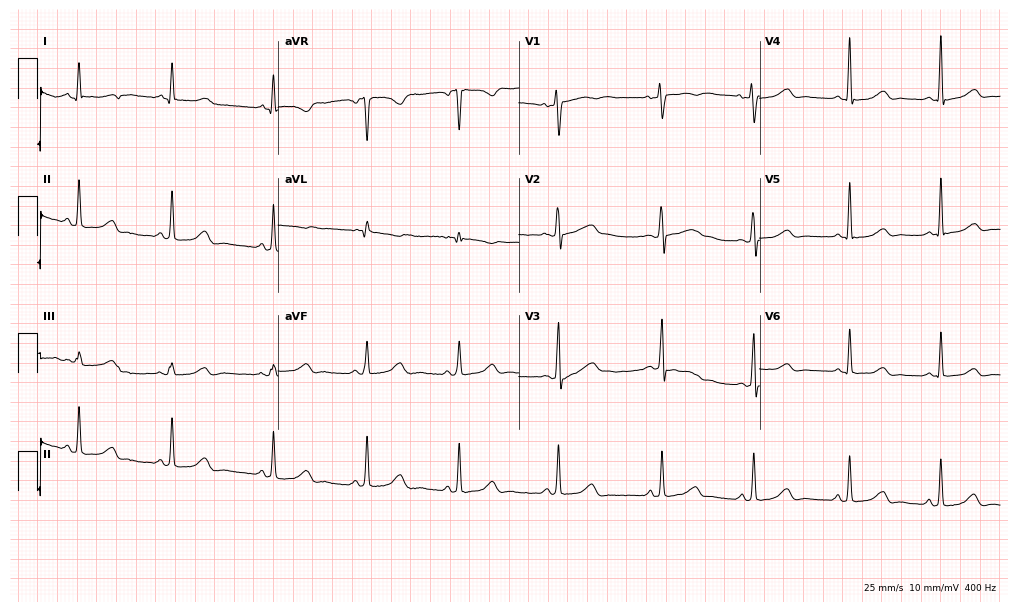
12-lead ECG from a woman, 37 years old (9.8-second recording at 400 Hz). Recorded interpretation: within normal limits.